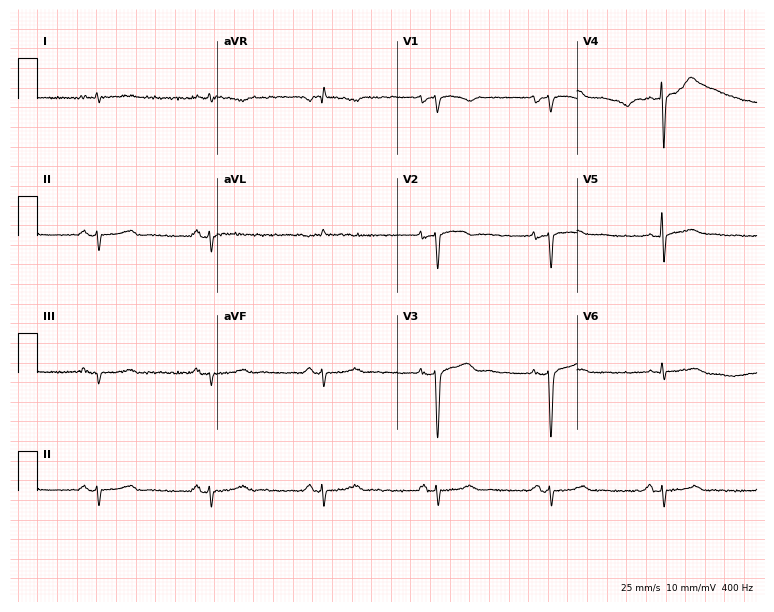
12-lead ECG from a 70-year-old female patient. Screened for six findings — first-degree AV block, right bundle branch block, left bundle branch block, sinus bradycardia, atrial fibrillation, sinus tachycardia — none is recorded. Findings outside these six are not listed.